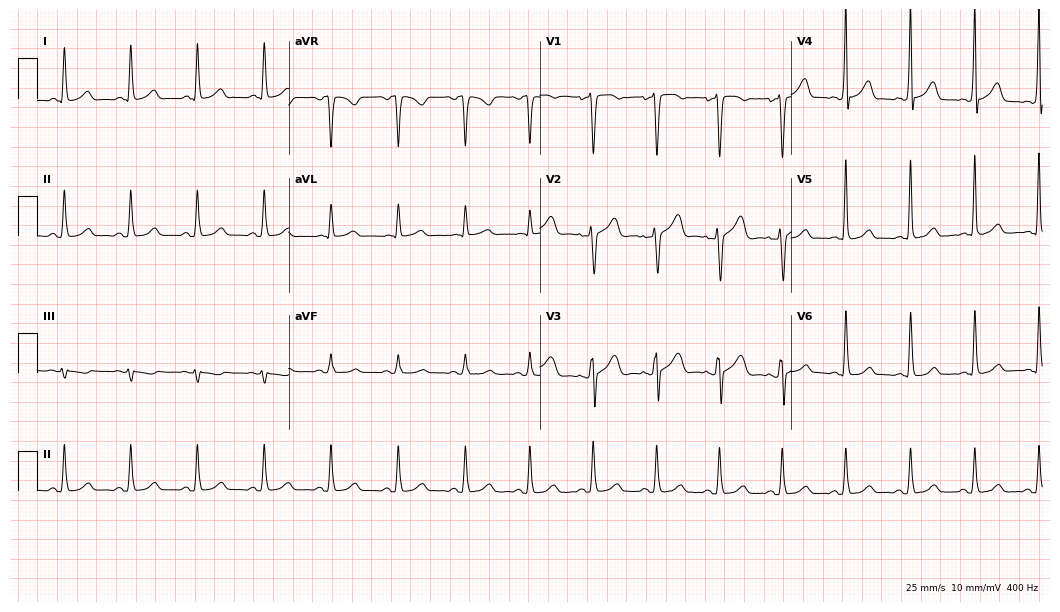
12-lead ECG from a 41-year-old male (10.2-second recording at 400 Hz). Recorded interpretation: within normal limits.